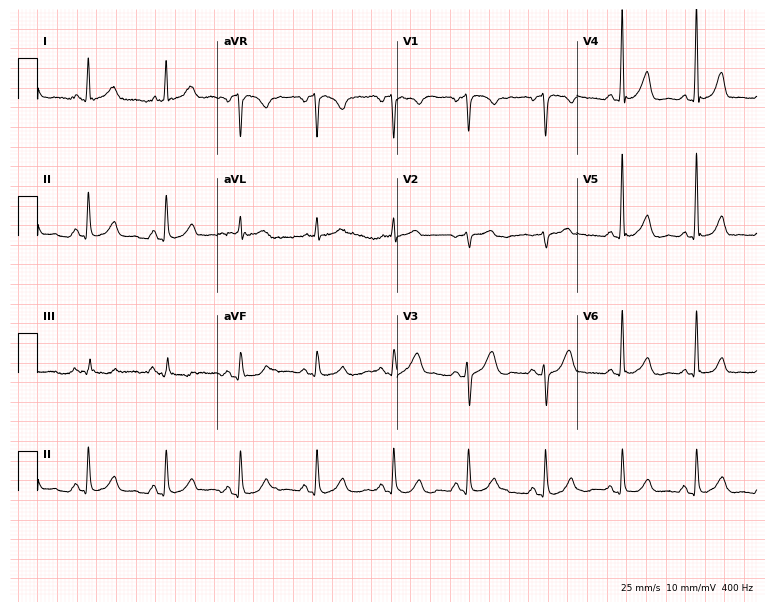
ECG — a female, 49 years old. Labelled as a normal ECG.